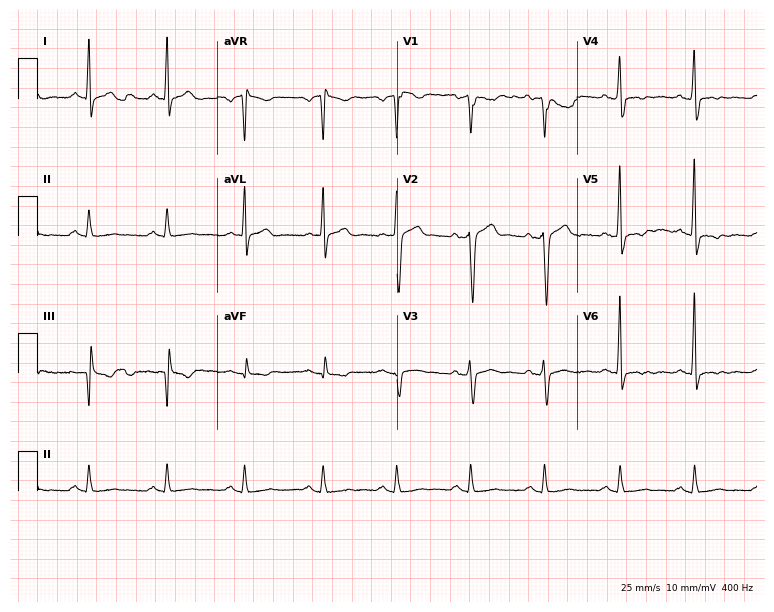
12-lead ECG (7.3-second recording at 400 Hz) from a 41-year-old man. Screened for six findings — first-degree AV block, right bundle branch block, left bundle branch block, sinus bradycardia, atrial fibrillation, sinus tachycardia — none is recorded.